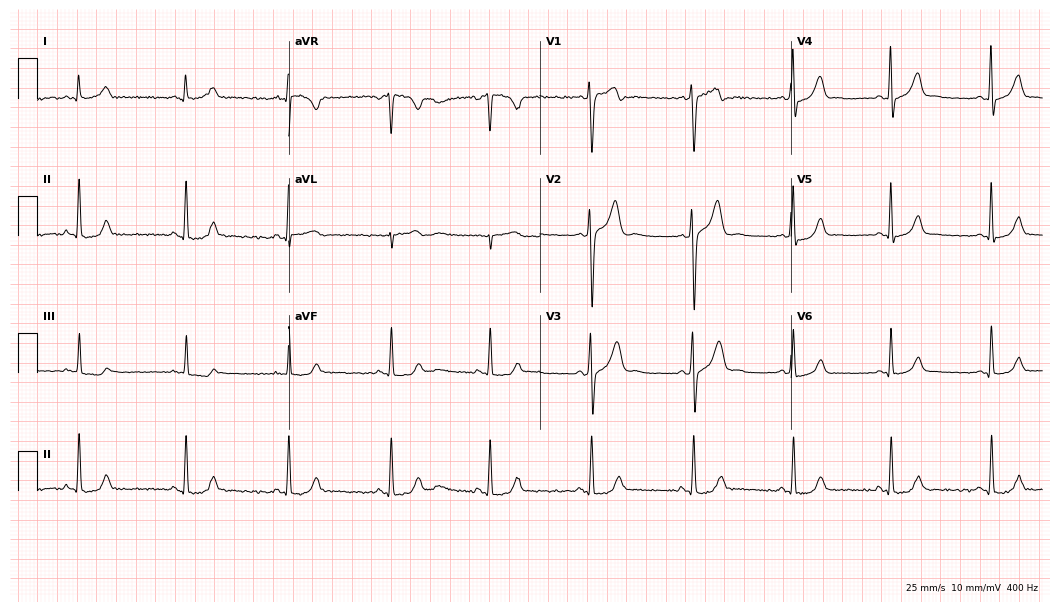
ECG — a 38-year-old man. Screened for six findings — first-degree AV block, right bundle branch block (RBBB), left bundle branch block (LBBB), sinus bradycardia, atrial fibrillation (AF), sinus tachycardia — none is recorded. Other findings, if any, are not listed.